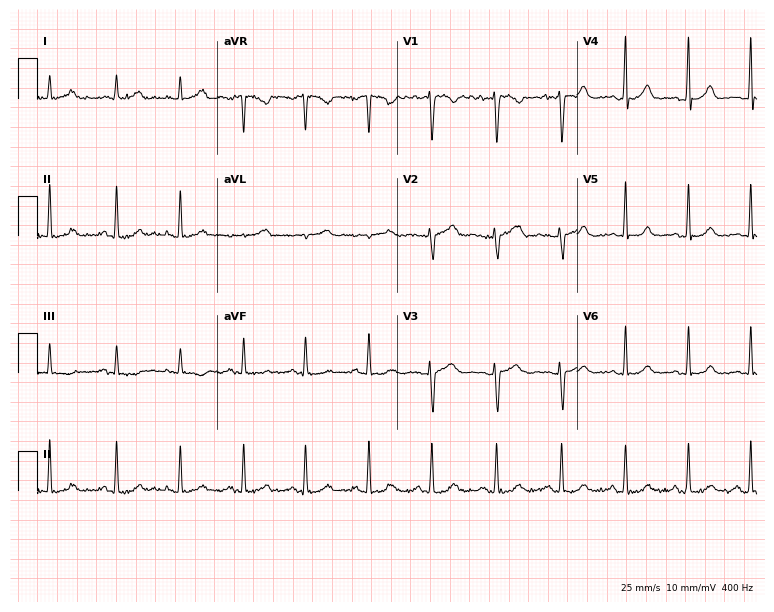
Resting 12-lead electrocardiogram (7.3-second recording at 400 Hz). Patient: a 34-year-old woman. Read as a normal ECG.